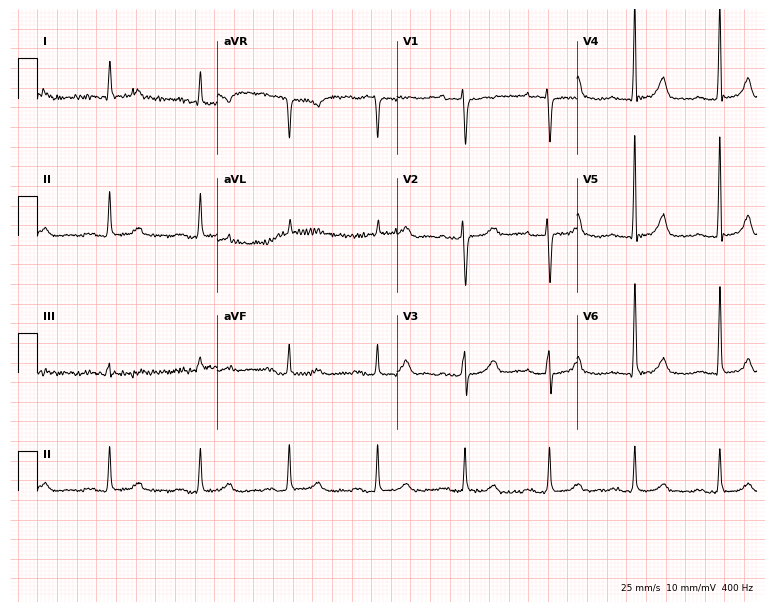
Resting 12-lead electrocardiogram (7.3-second recording at 400 Hz). Patient: a woman, 84 years old. None of these six findings is recorded: first-degree AV block, right bundle branch block, left bundle branch block, sinus bradycardia, atrial fibrillation, sinus tachycardia. Only these six findings were labelled.